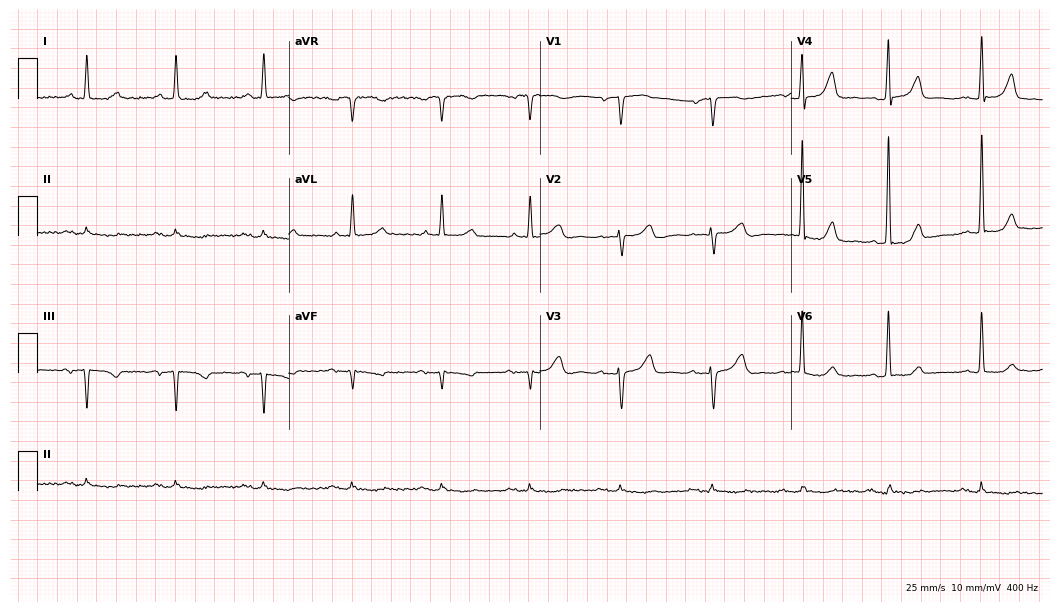
Electrocardiogram, a 61-year-old woman. Overall reading on record: normal ECG.